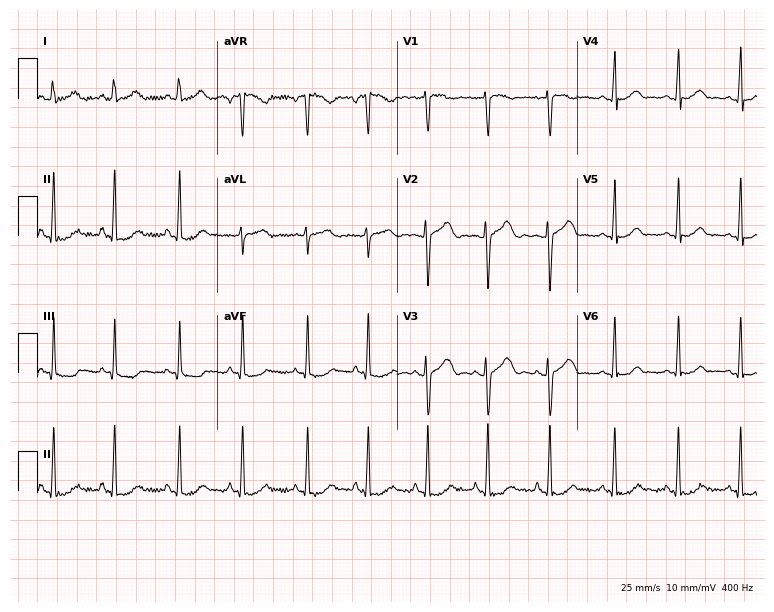
Standard 12-lead ECG recorded from a 20-year-old female patient (7.3-second recording at 400 Hz). Read as a normal ECG.